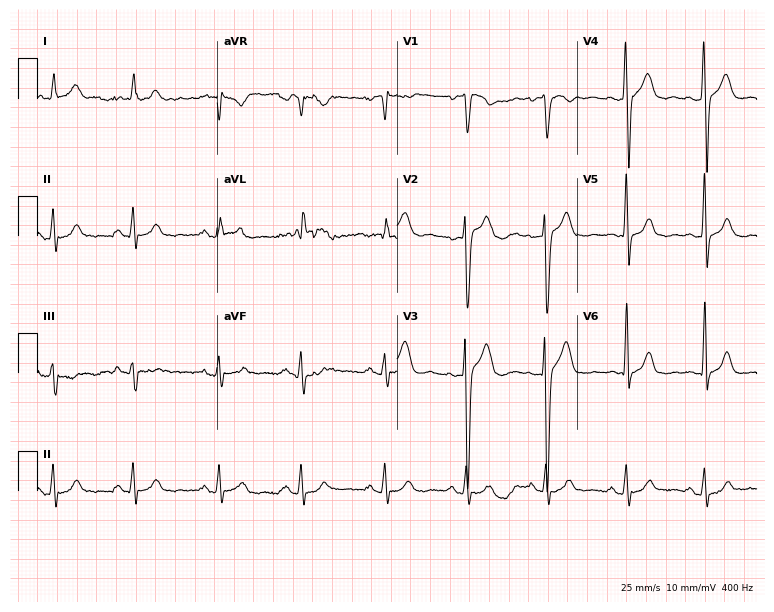
ECG — a man, 27 years old. Labelled as a normal ECG.